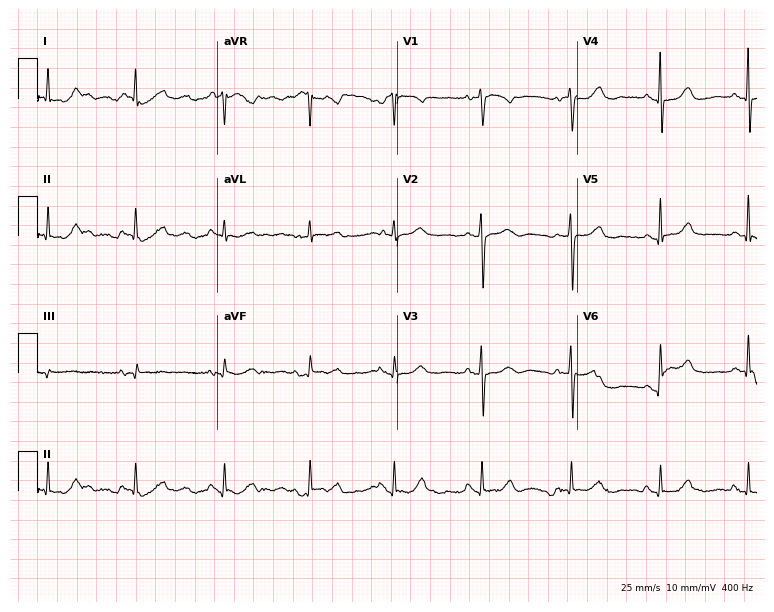
Resting 12-lead electrocardiogram (7.3-second recording at 400 Hz). Patient: a 71-year-old woman. None of these six findings is recorded: first-degree AV block, right bundle branch block, left bundle branch block, sinus bradycardia, atrial fibrillation, sinus tachycardia. Other findings, if any, are not listed.